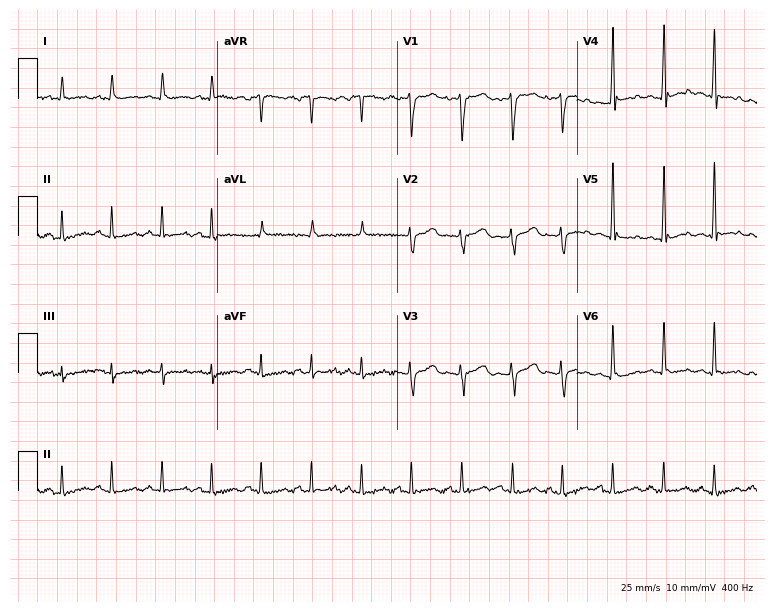
12-lead ECG from a woman, 37 years old. Screened for six findings — first-degree AV block, right bundle branch block, left bundle branch block, sinus bradycardia, atrial fibrillation, sinus tachycardia — none is recorded.